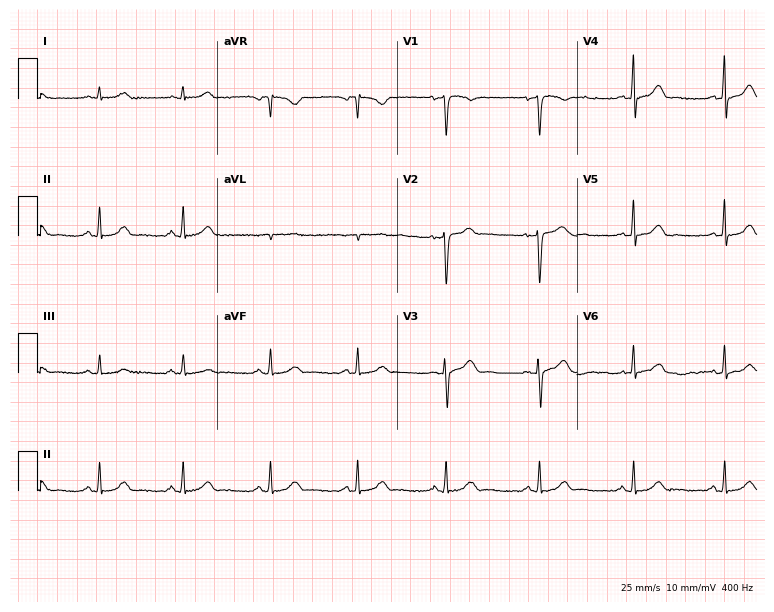
Electrocardiogram, a woman, 40 years old. Of the six screened findings (first-degree AV block, right bundle branch block, left bundle branch block, sinus bradycardia, atrial fibrillation, sinus tachycardia), none is recorded.